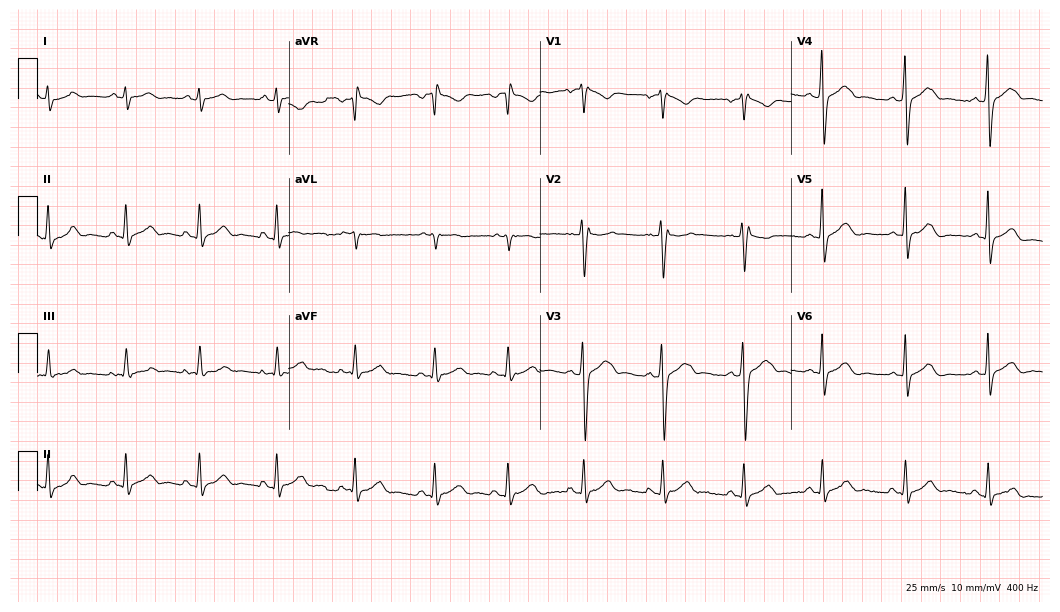
Electrocardiogram (10.2-second recording at 400 Hz), a 24-year-old man. Of the six screened findings (first-degree AV block, right bundle branch block, left bundle branch block, sinus bradycardia, atrial fibrillation, sinus tachycardia), none is recorded.